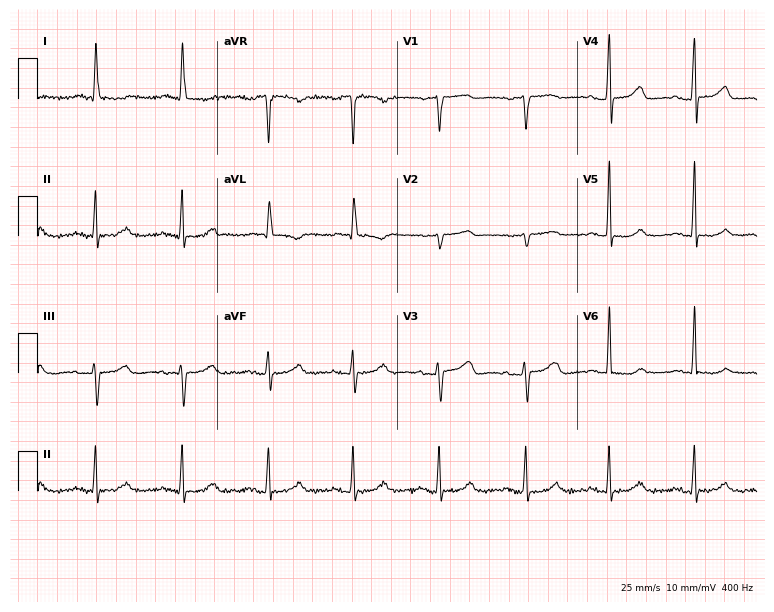
Electrocardiogram (7.3-second recording at 400 Hz), a female, 69 years old. Overall reading on record: normal ECG.